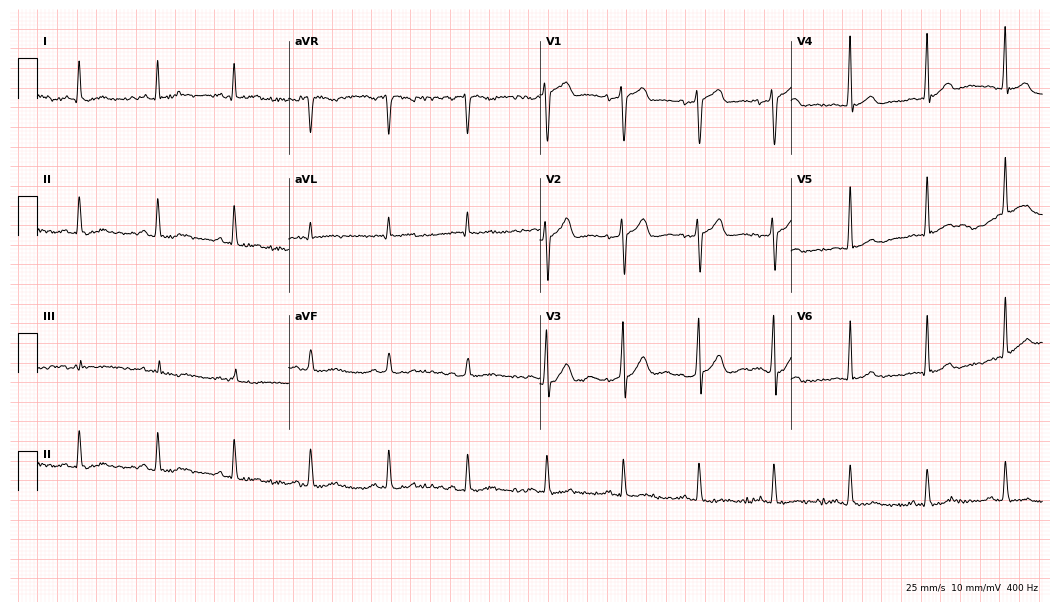
ECG (10.2-second recording at 400 Hz) — a male patient, 37 years old. Screened for six findings — first-degree AV block, right bundle branch block, left bundle branch block, sinus bradycardia, atrial fibrillation, sinus tachycardia — none is recorded. Findings outside these six are not listed.